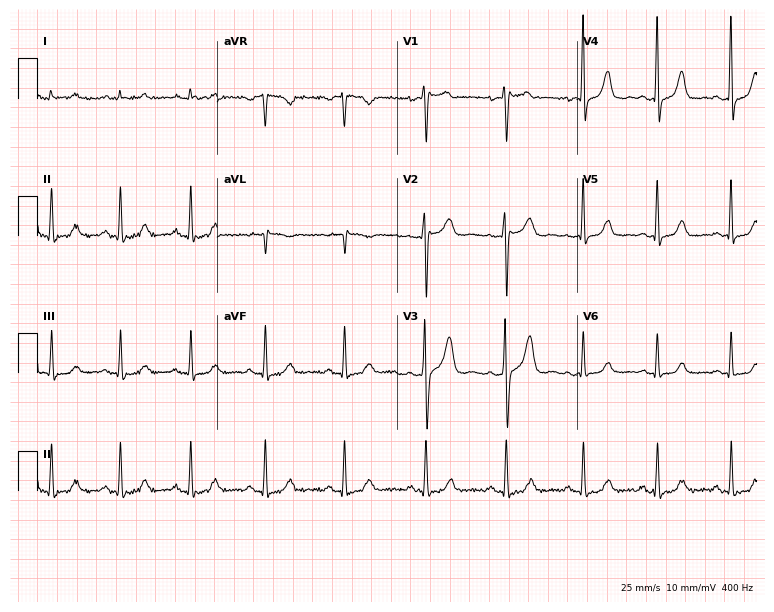
Standard 12-lead ECG recorded from a woman, 42 years old. None of these six findings is recorded: first-degree AV block, right bundle branch block (RBBB), left bundle branch block (LBBB), sinus bradycardia, atrial fibrillation (AF), sinus tachycardia. Only these six findings were labelled.